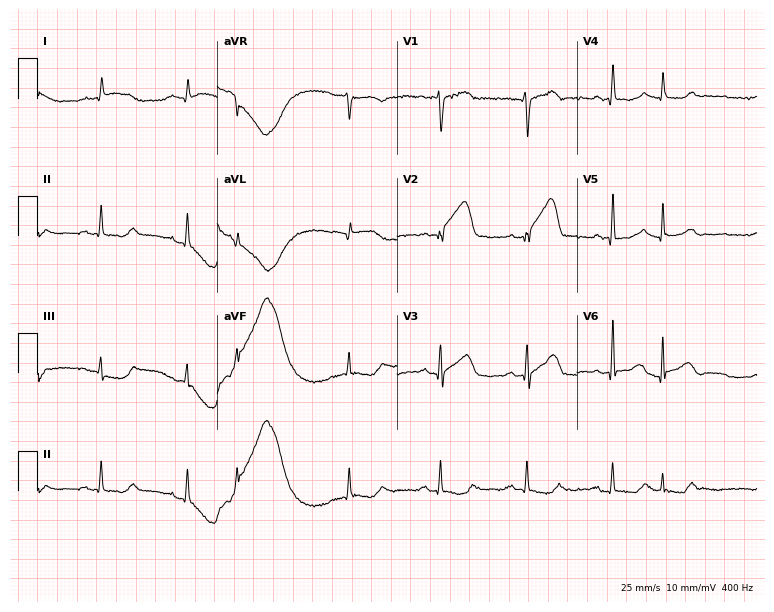
ECG — a male, 83 years old. Labelled as a normal ECG.